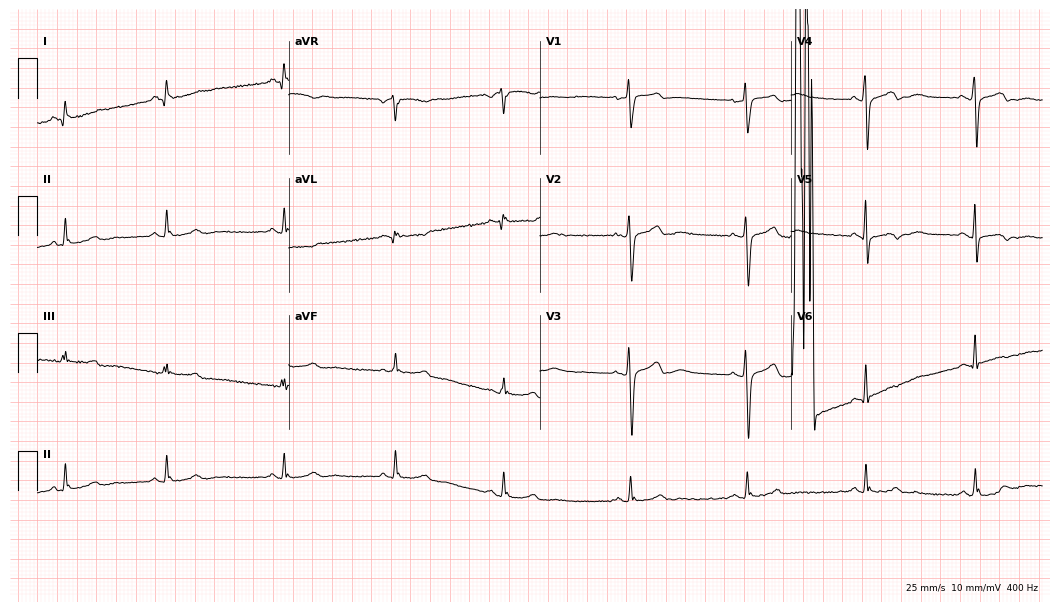
Resting 12-lead electrocardiogram (10.2-second recording at 400 Hz). Patient: a woman, 56 years old. None of these six findings is recorded: first-degree AV block, right bundle branch block (RBBB), left bundle branch block (LBBB), sinus bradycardia, atrial fibrillation (AF), sinus tachycardia. Other findings, if any, are not listed.